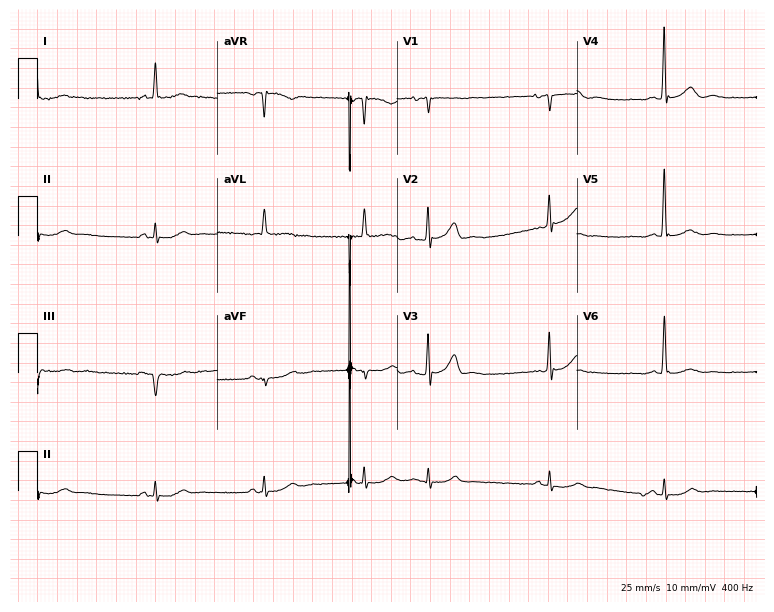
ECG (7.3-second recording at 400 Hz) — a 78-year-old male patient. Screened for six findings — first-degree AV block, right bundle branch block, left bundle branch block, sinus bradycardia, atrial fibrillation, sinus tachycardia — none is recorded. Findings outside these six are not listed.